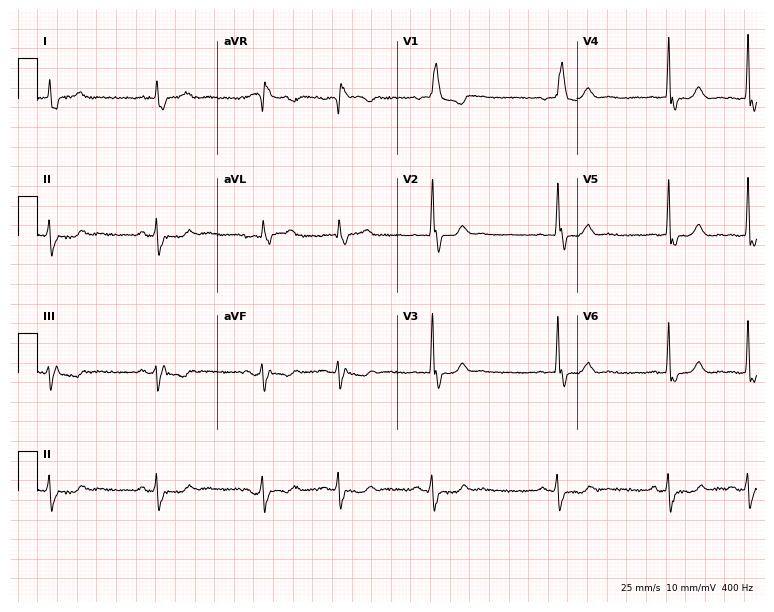
ECG — a male, 72 years old. Findings include right bundle branch block.